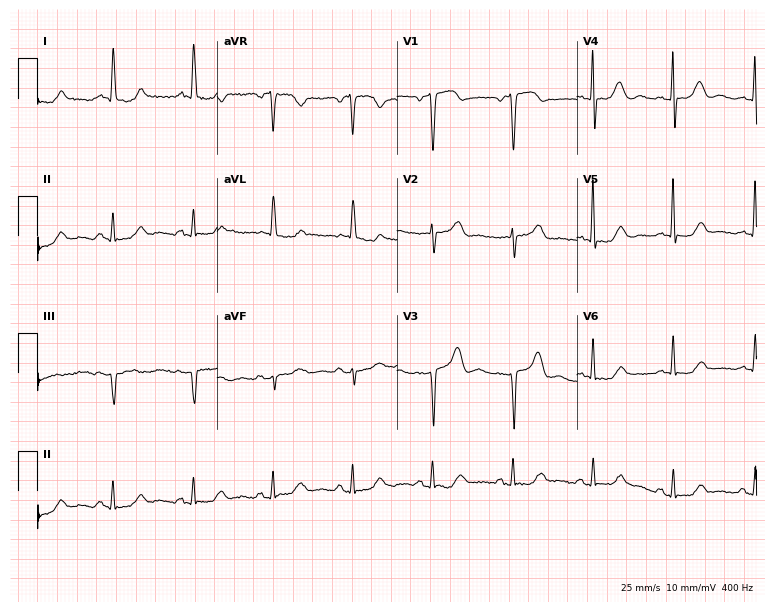
Electrocardiogram, a female, 79 years old. Of the six screened findings (first-degree AV block, right bundle branch block (RBBB), left bundle branch block (LBBB), sinus bradycardia, atrial fibrillation (AF), sinus tachycardia), none is recorded. Only these six findings were labelled.